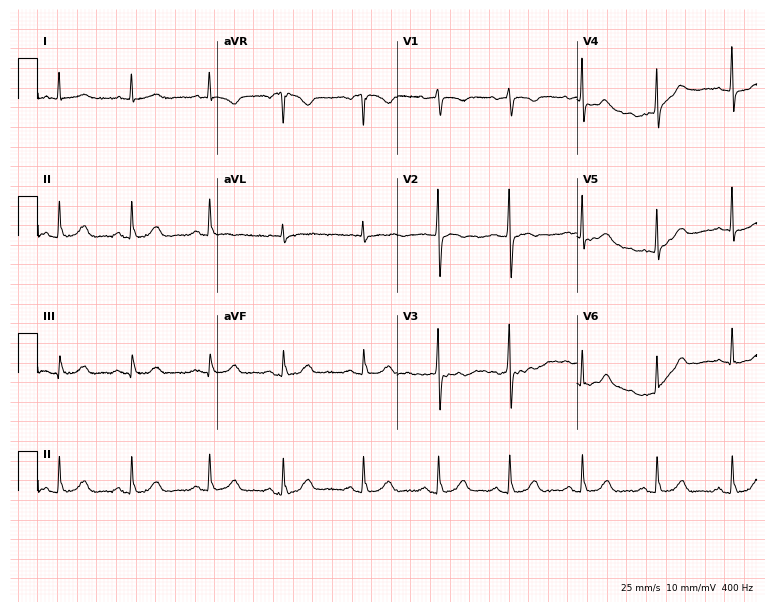
ECG — a 59-year-old female patient. Labelled as a normal ECG.